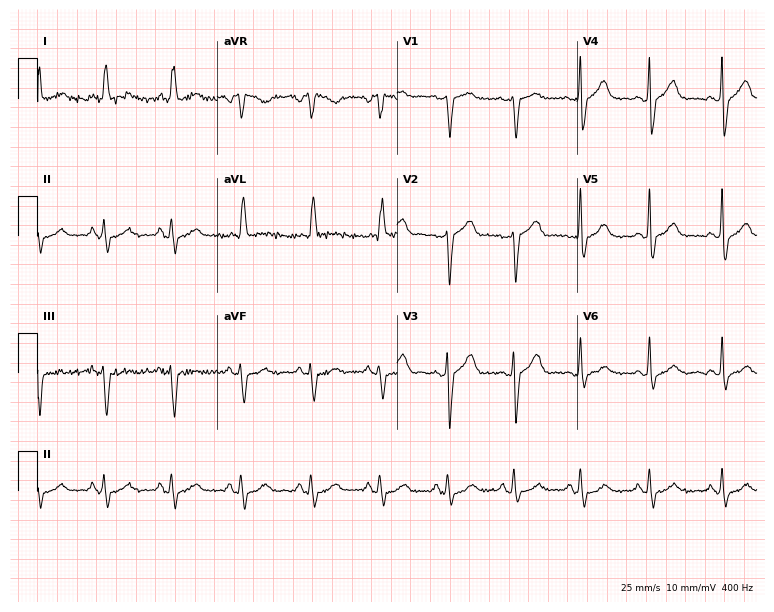
Standard 12-lead ECG recorded from a 73-year-old female. Read as a normal ECG.